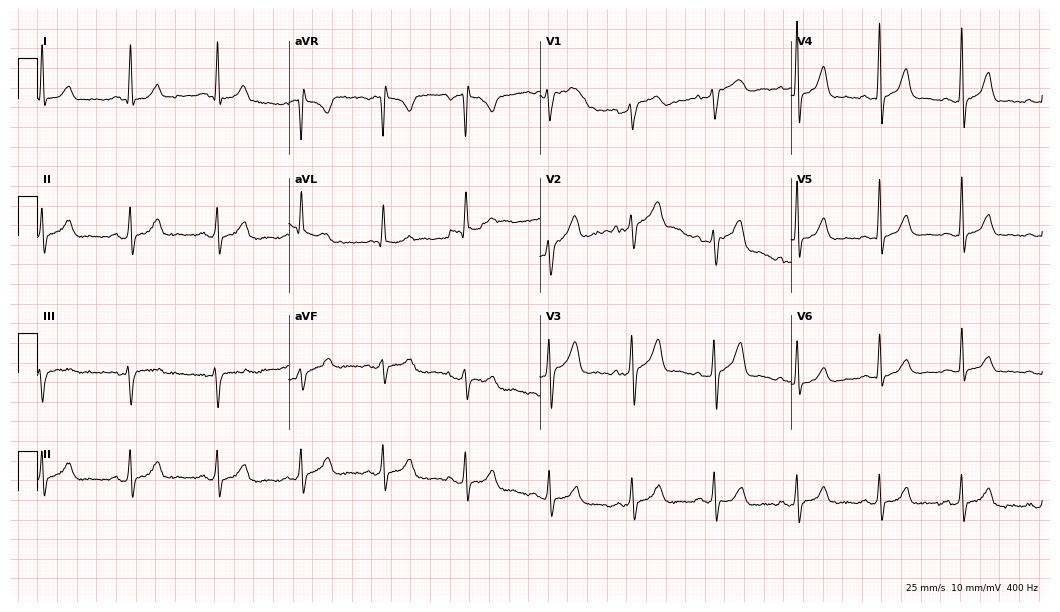
Electrocardiogram, a 45-year-old woman. Overall reading on record: normal ECG.